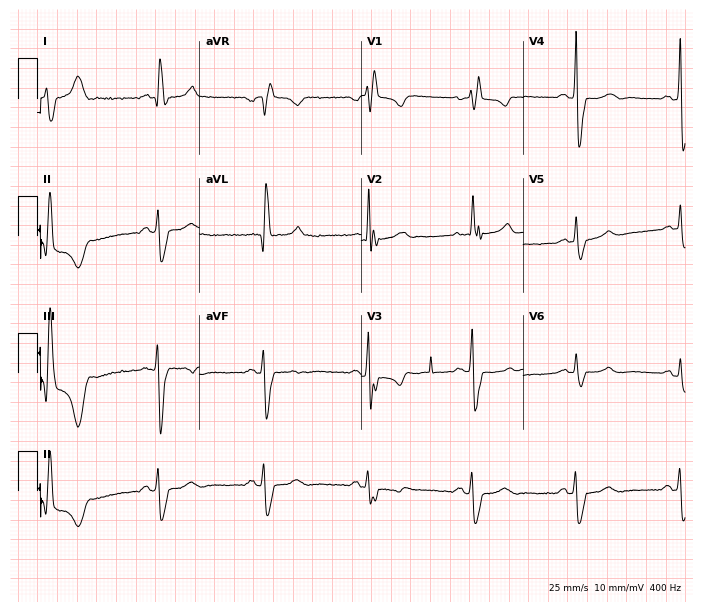
Standard 12-lead ECG recorded from an 82-year-old man. The tracing shows right bundle branch block (RBBB).